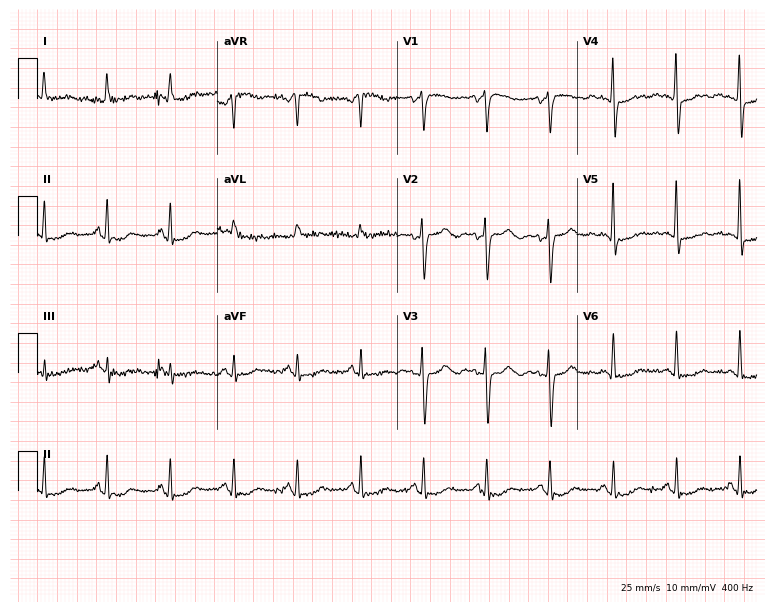
ECG (7.3-second recording at 400 Hz) — a 67-year-old female patient. Screened for six findings — first-degree AV block, right bundle branch block, left bundle branch block, sinus bradycardia, atrial fibrillation, sinus tachycardia — none is recorded. Other findings, if any, are not listed.